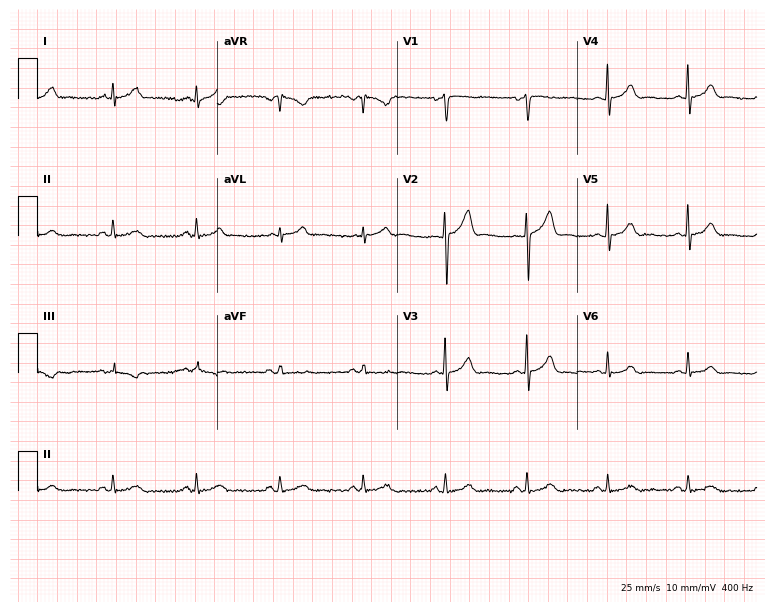
Electrocardiogram (7.3-second recording at 400 Hz), a male, 53 years old. Of the six screened findings (first-degree AV block, right bundle branch block, left bundle branch block, sinus bradycardia, atrial fibrillation, sinus tachycardia), none is recorded. Only these six findings were labelled.